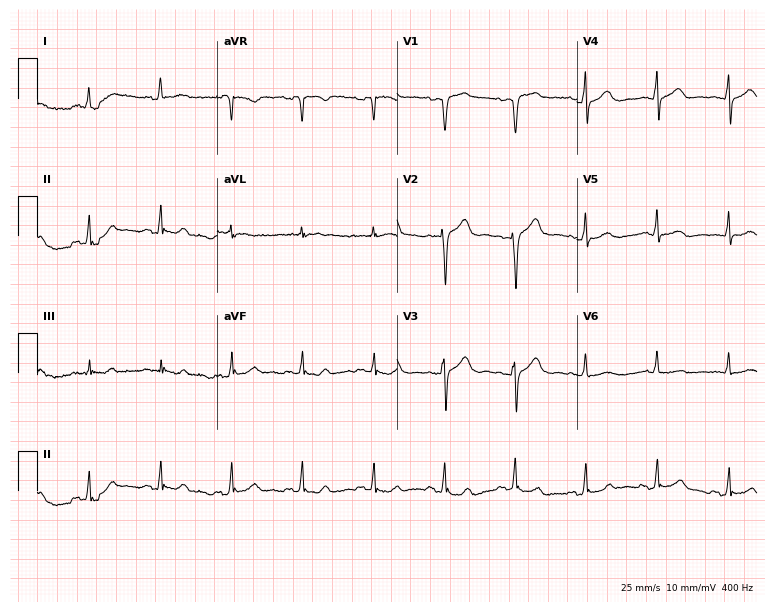
Standard 12-lead ECG recorded from a female patient, 58 years old. None of these six findings is recorded: first-degree AV block, right bundle branch block, left bundle branch block, sinus bradycardia, atrial fibrillation, sinus tachycardia. Findings outside these six are not listed.